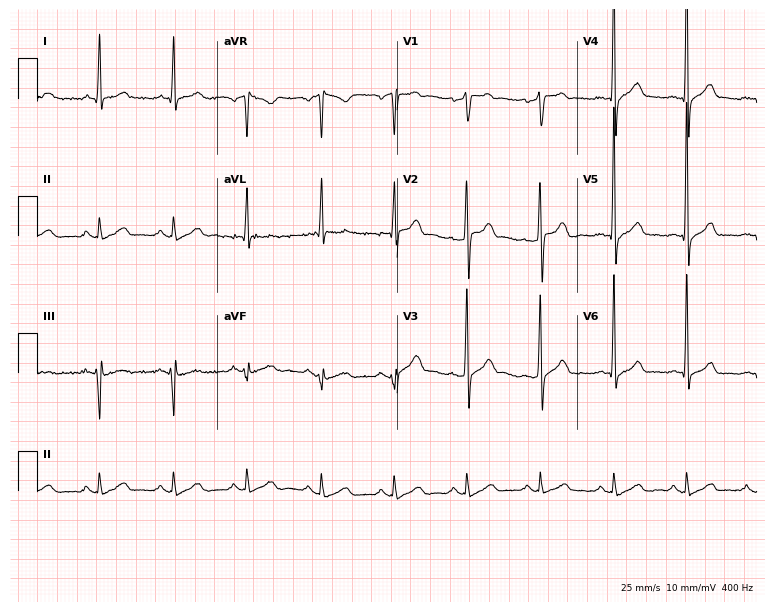
Resting 12-lead electrocardiogram (7.3-second recording at 400 Hz). Patient: a male, 45 years old. None of these six findings is recorded: first-degree AV block, right bundle branch block (RBBB), left bundle branch block (LBBB), sinus bradycardia, atrial fibrillation (AF), sinus tachycardia. Only these six findings were labelled.